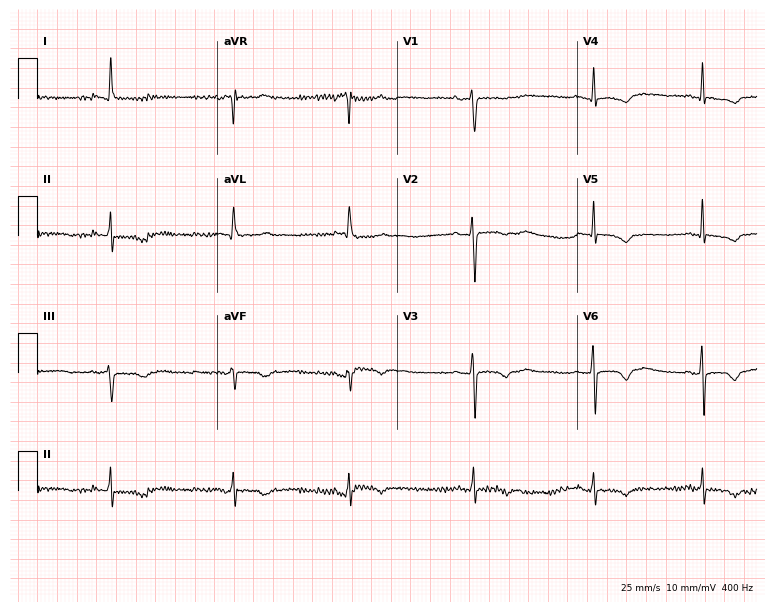
Resting 12-lead electrocardiogram. Patient: a woman, 55 years old. None of these six findings is recorded: first-degree AV block, right bundle branch block (RBBB), left bundle branch block (LBBB), sinus bradycardia, atrial fibrillation (AF), sinus tachycardia.